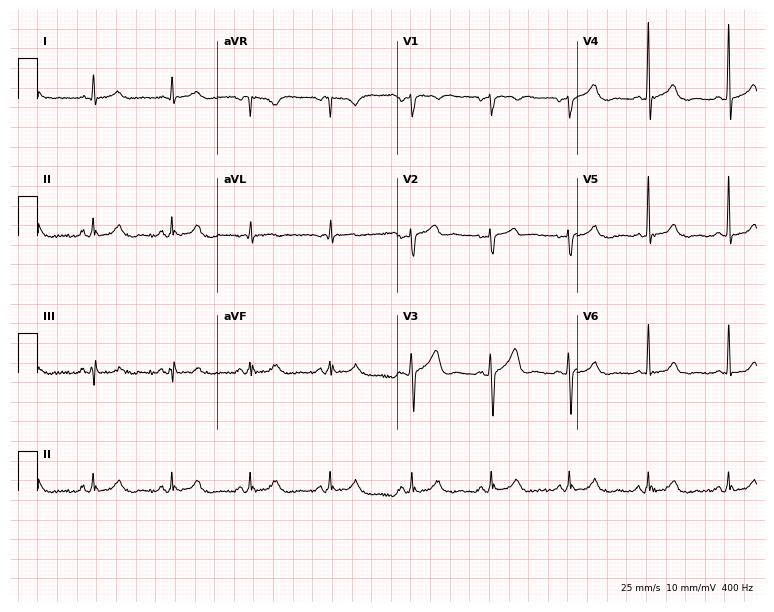
ECG (7.3-second recording at 400 Hz) — a 44-year-old male. Labelled as a normal ECG.